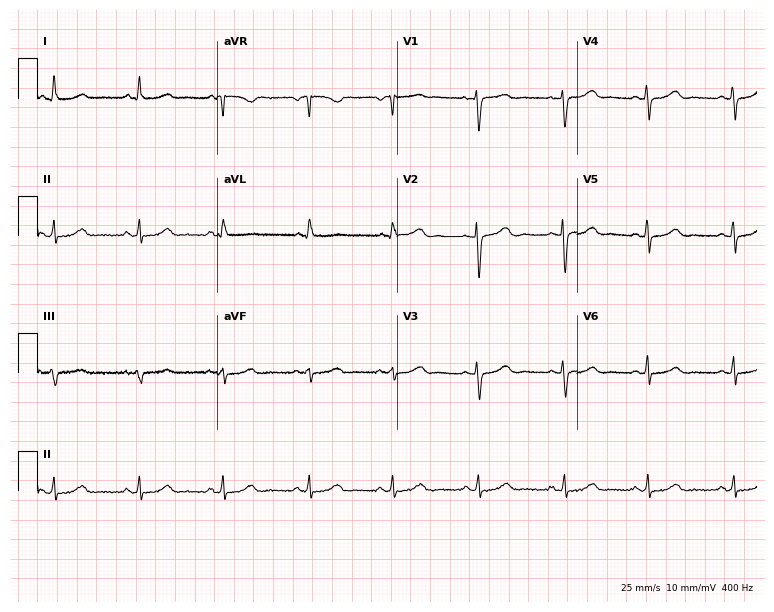
12-lead ECG from a 44-year-old female patient (7.3-second recording at 400 Hz). No first-degree AV block, right bundle branch block, left bundle branch block, sinus bradycardia, atrial fibrillation or sinus tachycardia recorded for this tracing. Other findings, if any, are not listed.